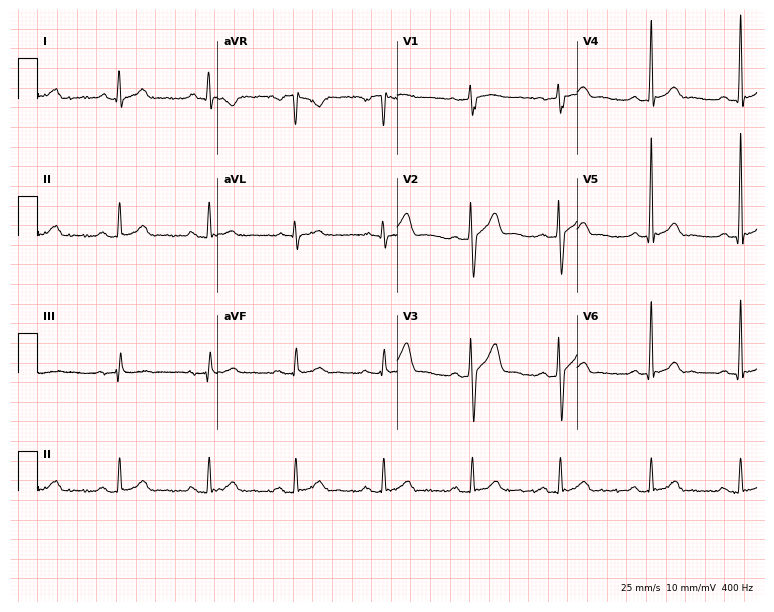
Standard 12-lead ECG recorded from a 43-year-old man (7.3-second recording at 400 Hz). Read as a normal ECG.